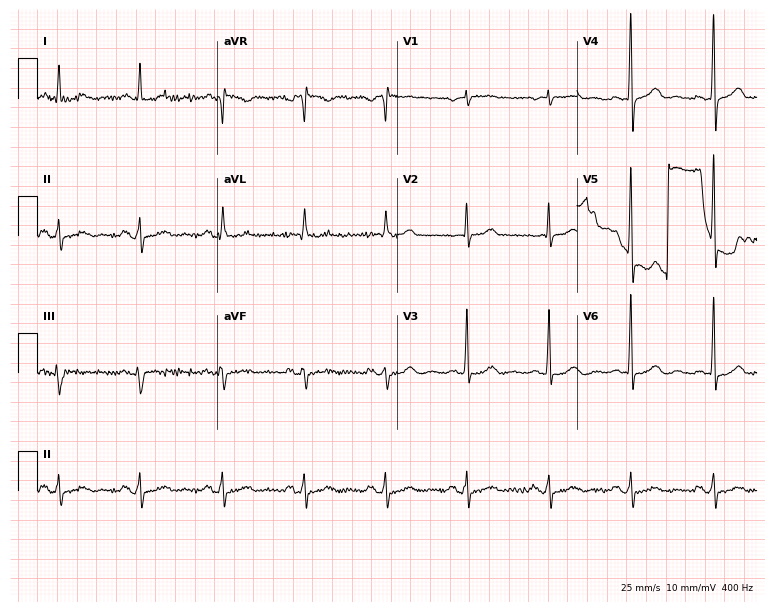
ECG — a male, 64 years old. Screened for six findings — first-degree AV block, right bundle branch block, left bundle branch block, sinus bradycardia, atrial fibrillation, sinus tachycardia — none is recorded. Only these six findings were labelled.